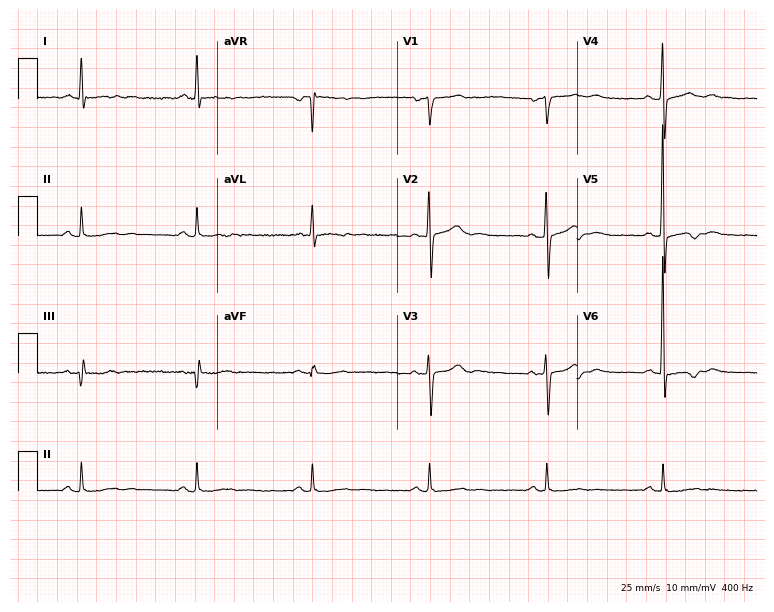
Electrocardiogram, a 74-year-old woman. Of the six screened findings (first-degree AV block, right bundle branch block, left bundle branch block, sinus bradycardia, atrial fibrillation, sinus tachycardia), none is recorded.